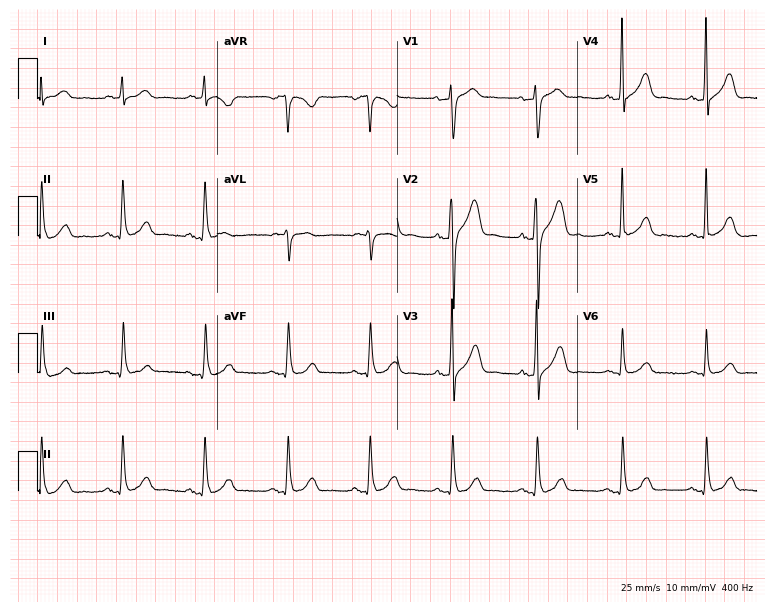
ECG (7.3-second recording at 400 Hz) — a 47-year-old man. Screened for six findings — first-degree AV block, right bundle branch block, left bundle branch block, sinus bradycardia, atrial fibrillation, sinus tachycardia — none is recorded.